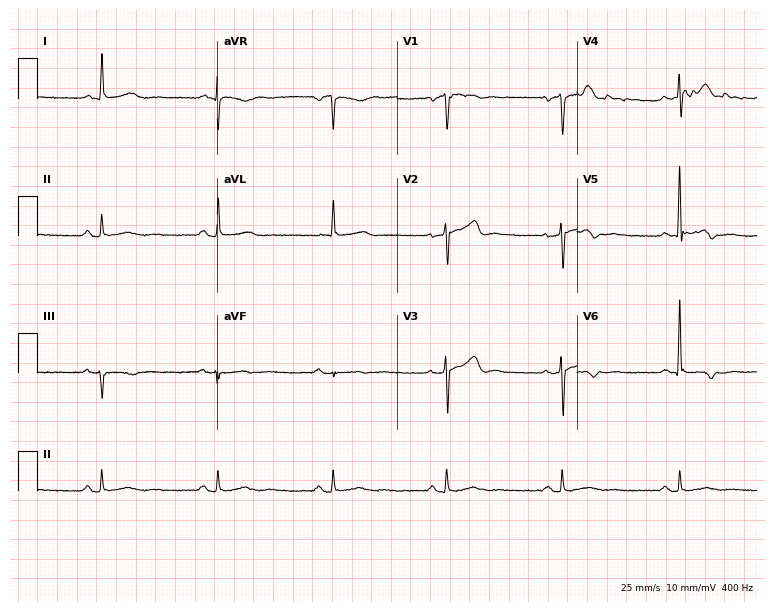
Electrocardiogram (7.3-second recording at 400 Hz), a male, 58 years old. Of the six screened findings (first-degree AV block, right bundle branch block, left bundle branch block, sinus bradycardia, atrial fibrillation, sinus tachycardia), none is recorded. Findings outside these six are not listed.